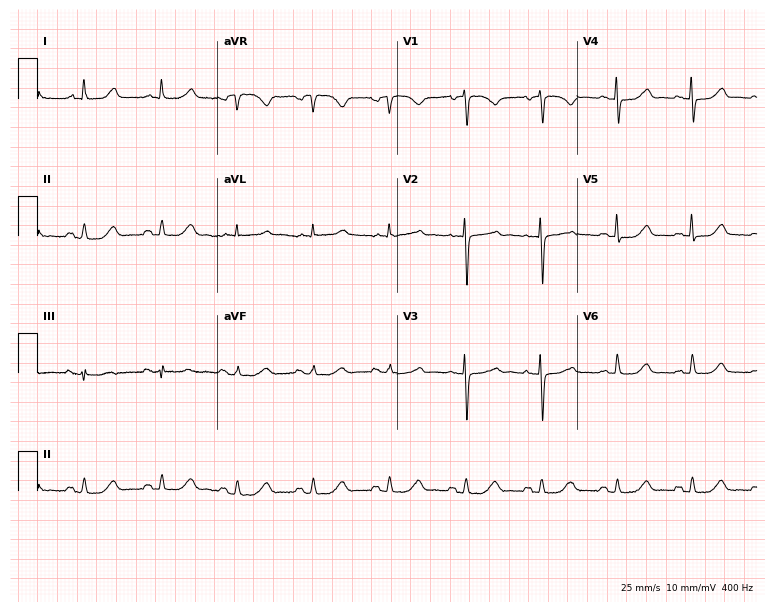
12-lead ECG from a female, 61 years old. No first-degree AV block, right bundle branch block (RBBB), left bundle branch block (LBBB), sinus bradycardia, atrial fibrillation (AF) or sinus tachycardia recorded for this tracing. Findings outside these six are not listed.